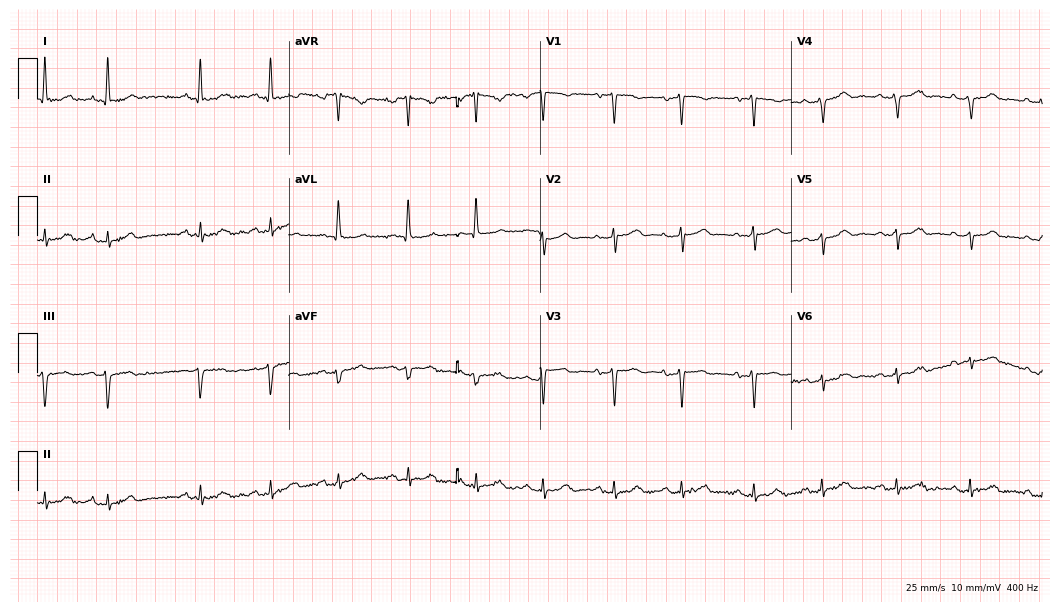
Standard 12-lead ECG recorded from a 49-year-old female. None of these six findings is recorded: first-degree AV block, right bundle branch block, left bundle branch block, sinus bradycardia, atrial fibrillation, sinus tachycardia. Other findings, if any, are not listed.